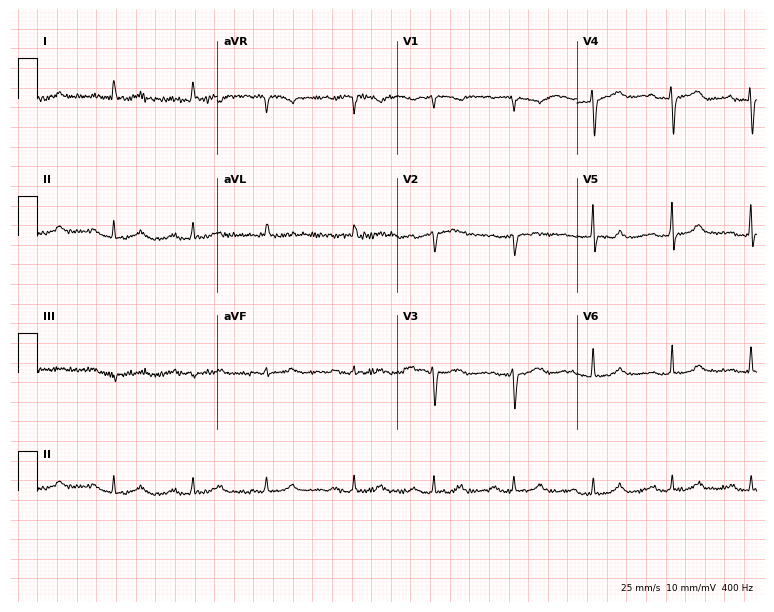
Standard 12-lead ECG recorded from a 75-year-old woman (7.3-second recording at 400 Hz). Read as a normal ECG.